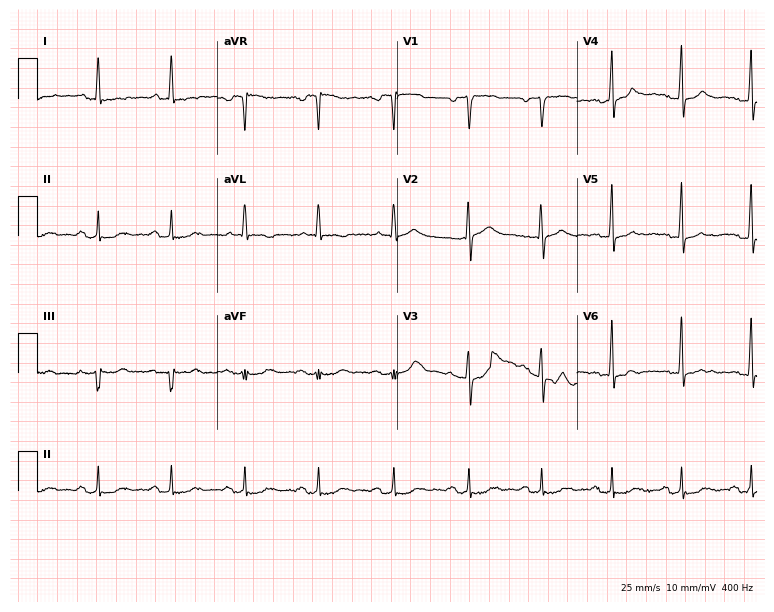
ECG — a 62-year-old male patient. Screened for six findings — first-degree AV block, right bundle branch block, left bundle branch block, sinus bradycardia, atrial fibrillation, sinus tachycardia — none is recorded. Findings outside these six are not listed.